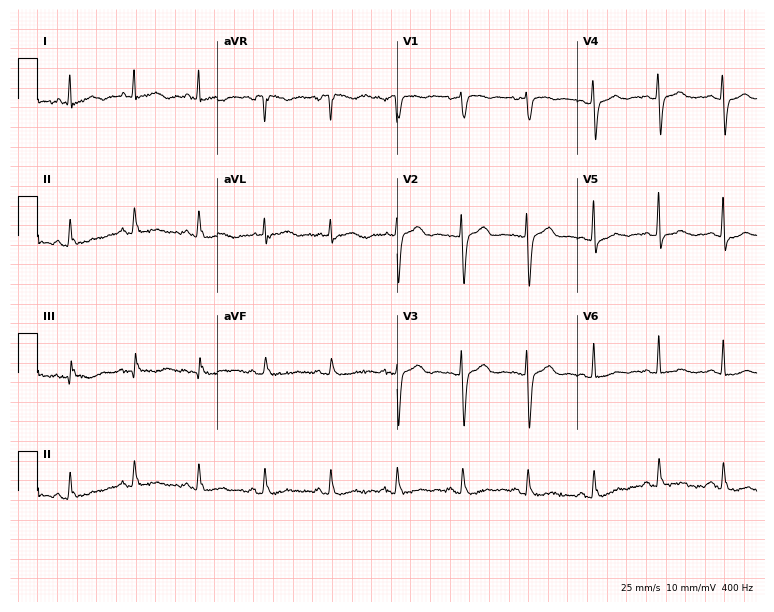
Electrocardiogram, a 62-year-old female. Of the six screened findings (first-degree AV block, right bundle branch block, left bundle branch block, sinus bradycardia, atrial fibrillation, sinus tachycardia), none is recorded. Findings outside these six are not listed.